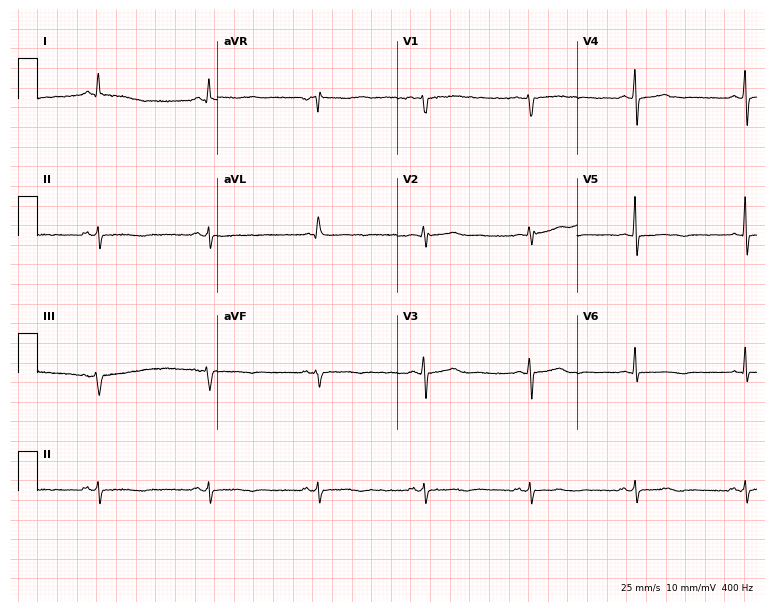
12-lead ECG from a woman, 45 years old. No first-degree AV block, right bundle branch block, left bundle branch block, sinus bradycardia, atrial fibrillation or sinus tachycardia recorded for this tracing.